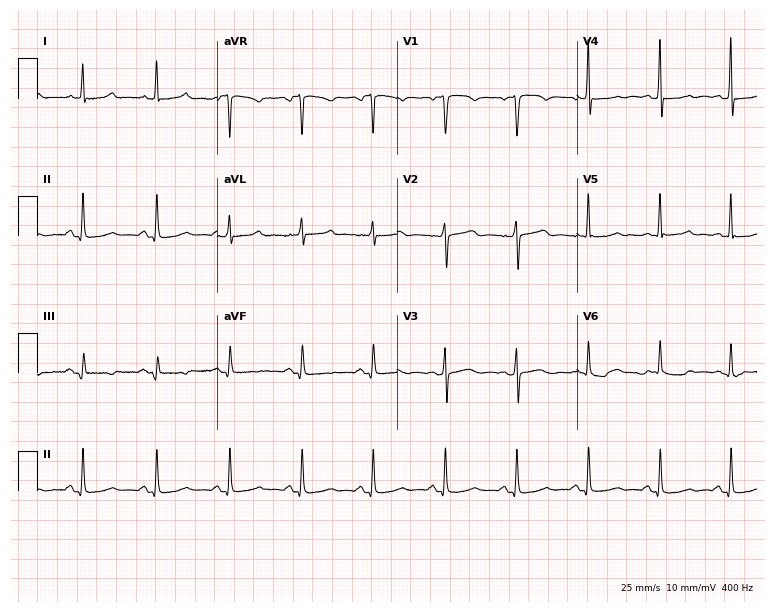
Electrocardiogram (7.3-second recording at 400 Hz), a 53-year-old female. Of the six screened findings (first-degree AV block, right bundle branch block (RBBB), left bundle branch block (LBBB), sinus bradycardia, atrial fibrillation (AF), sinus tachycardia), none is recorded.